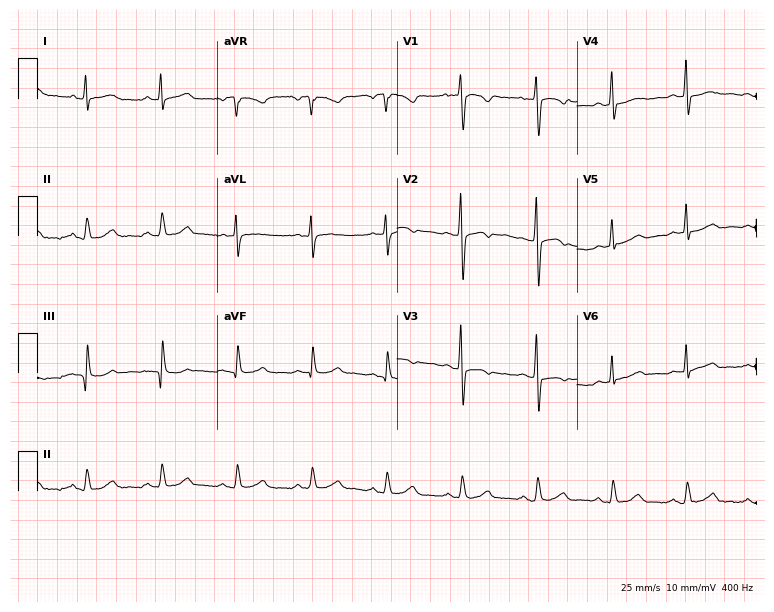
Resting 12-lead electrocardiogram. Patient: a 59-year-old female. None of these six findings is recorded: first-degree AV block, right bundle branch block, left bundle branch block, sinus bradycardia, atrial fibrillation, sinus tachycardia. Findings outside these six are not listed.